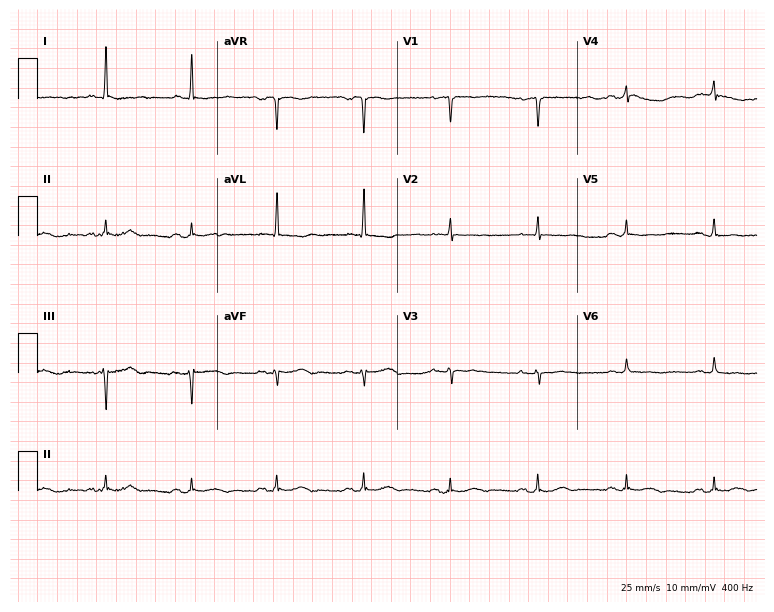
ECG (7.3-second recording at 400 Hz) — a female patient, 55 years old. Labelled as a normal ECG.